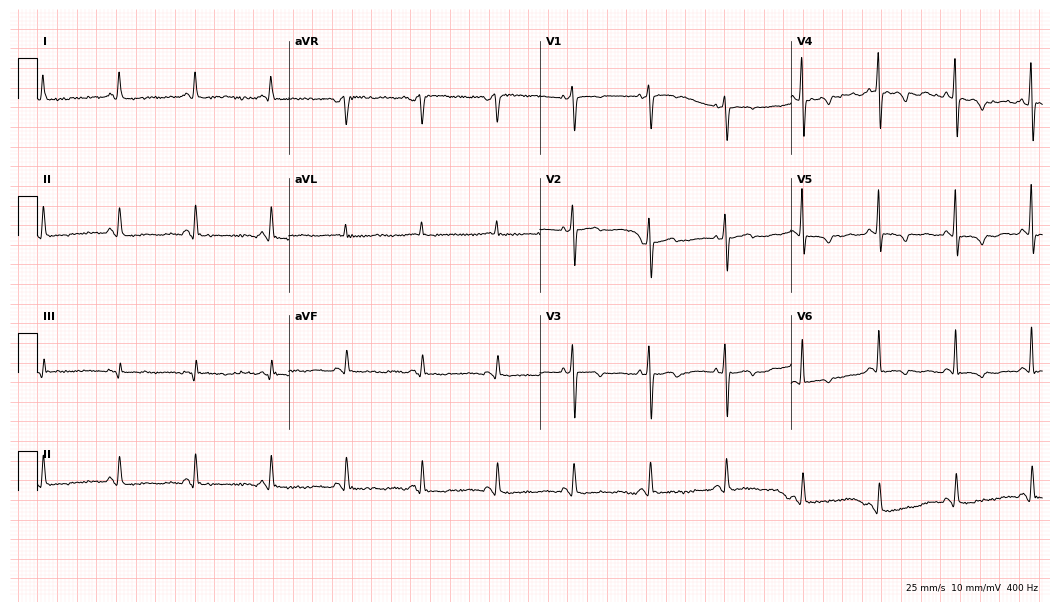
Standard 12-lead ECG recorded from a 69-year-old female patient. Read as a normal ECG.